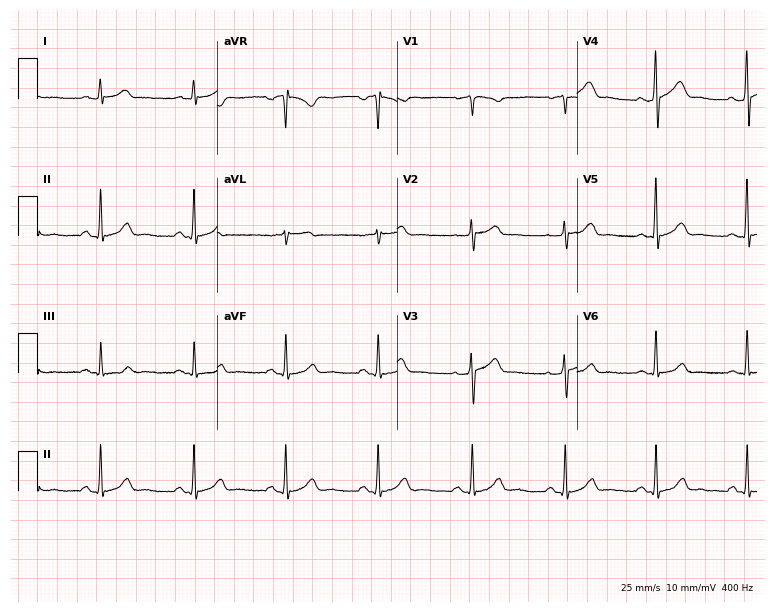
Standard 12-lead ECG recorded from a male, 58 years old (7.3-second recording at 400 Hz). Read as a normal ECG.